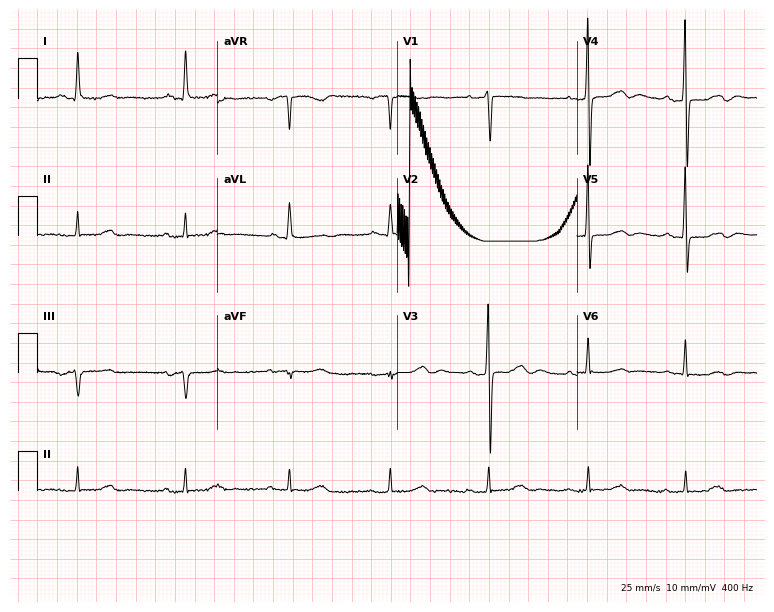
12-lead ECG from a female patient, 77 years old. Screened for six findings — first-degree AV block, right bundle branch block, left bundle branch block, sinus bradycardia, atrial fibrillation, sinus tachycardia — none is recorded.